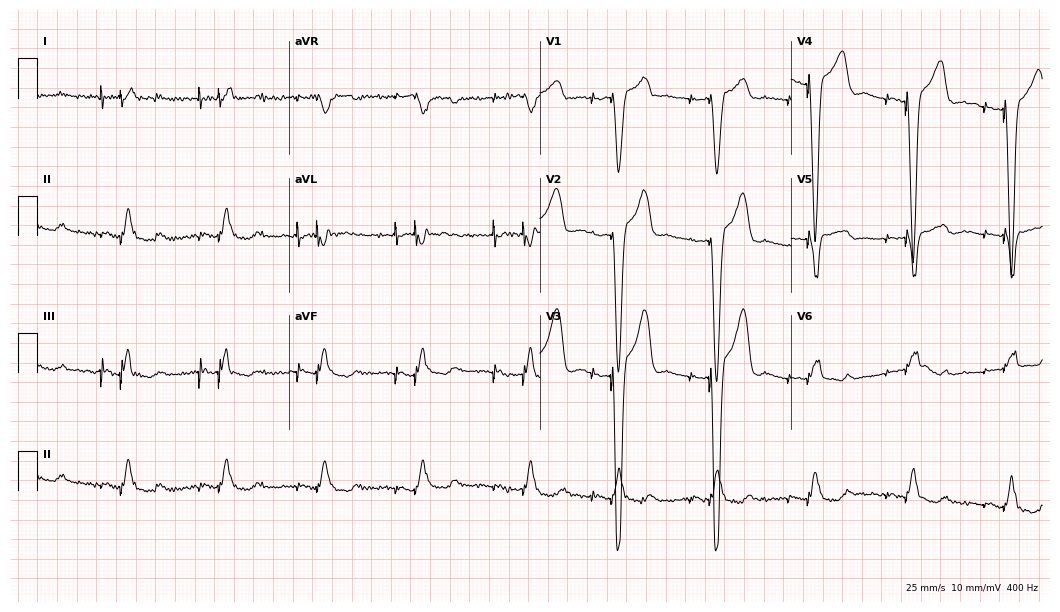
12-lead ECG from an 85-year-old male patient. No first-degree AV block, right bundle branch block, left bundle branch block, sinus bradycardia, atrial fibrillation or sinus tachycardia recorded for this tracing.